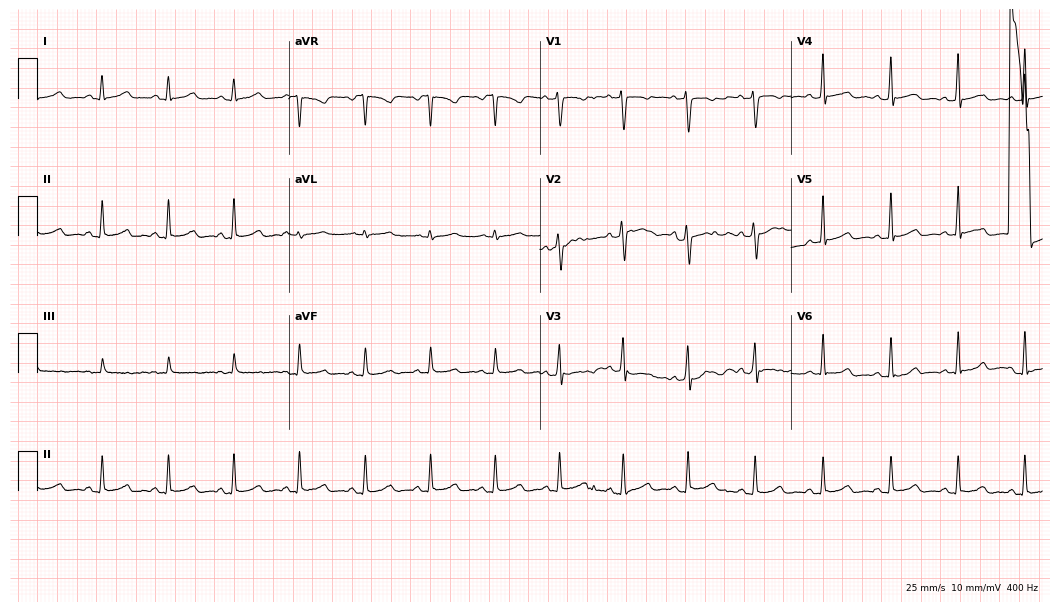
12-lead ECG from a 24-year-old female patient (10.2-second recording at 400 Hz). Recorded interpretation: within normal limits.